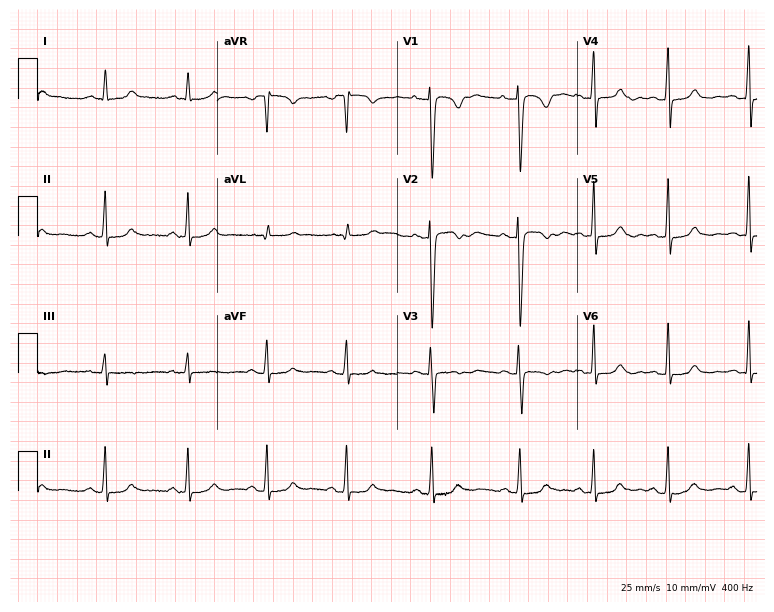
12-lead ECG from a 29-year-old female patient. No first-degree AV block, right bundle branch block (RBBB), left bundle branch block (LBBB), sinus bradycardia, atrial fibrillation (AF) or sinus tachycardia recorded for this tracing.